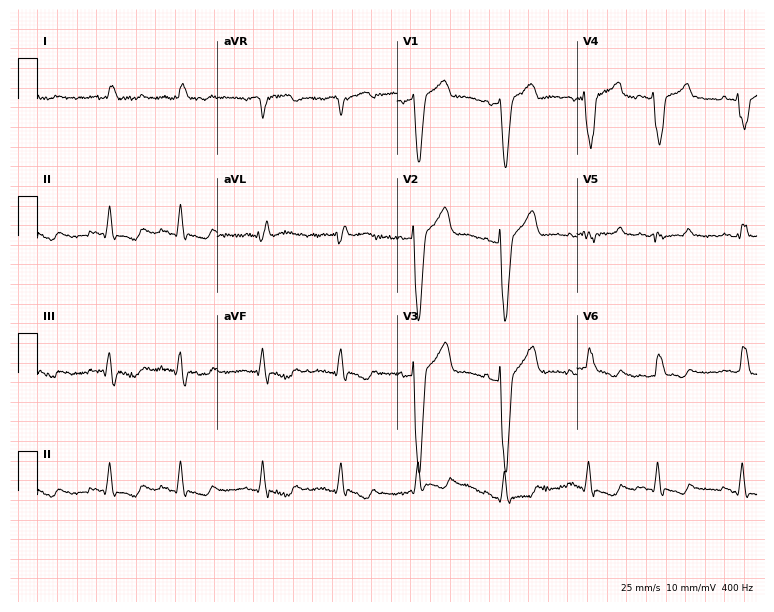
Electrocardiogram (7.3-second recording at 400 Hz), a 75-year-old male. Interpretation includes left bundle branch block (LBBB).